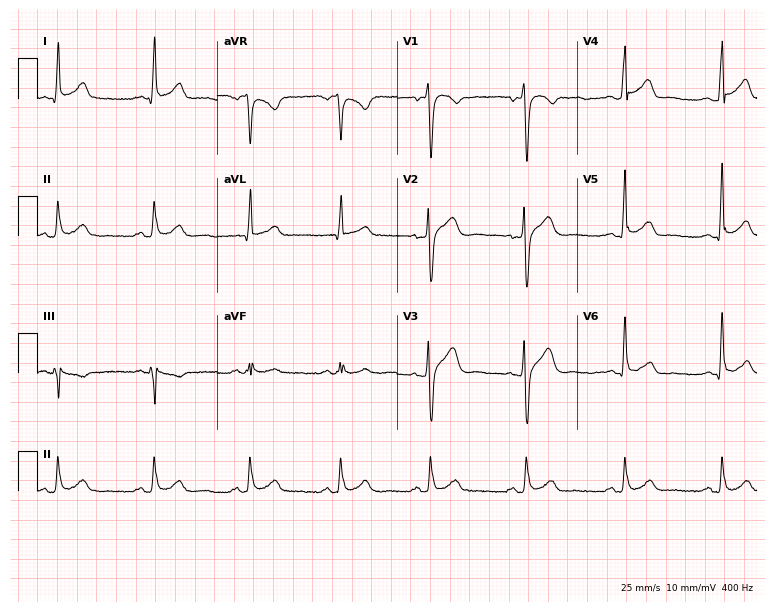
Electrocardiogram (7.3-second recording at 400 Hz), a 37-year-old male patient. Of the six screened findings (first-degree AV block, right bundle branch block, left bundle branch block, sinus bradycardia, atrial fibrillation, sinus tachycardia), none is recorded. Other findings, if any, are not listed.